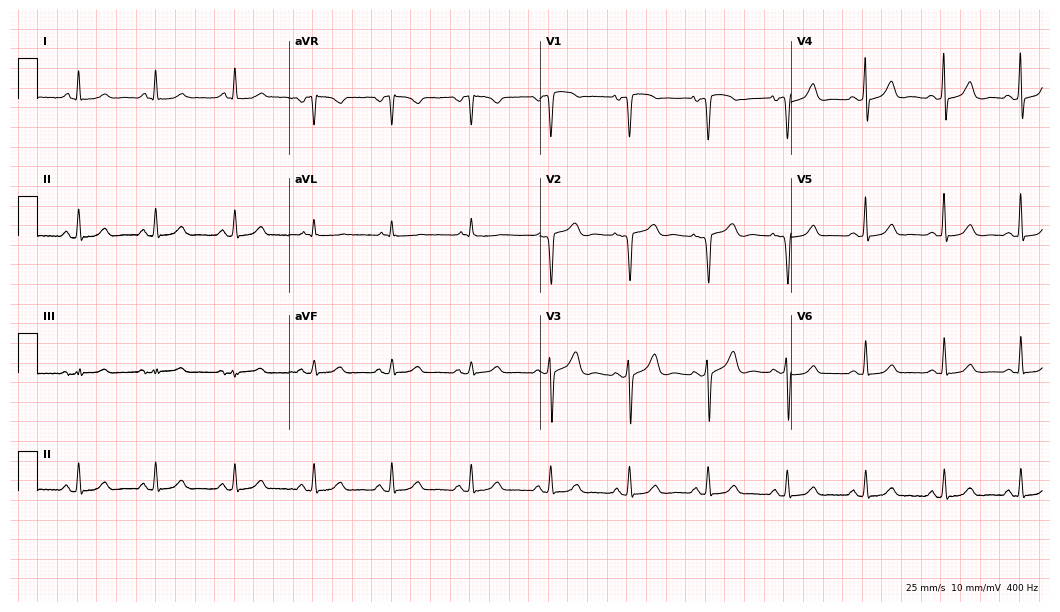
12-lead ECG (10.2-second recording at 400 Hz) from a woman, 85 years old. Screened for six findings — first-degree AV block, right bundle branch block, left bundle branch block, sinus bradycardia, atrial fibrillation, sinus tachycardia — none is recorded. Findings outside these six are not listed.